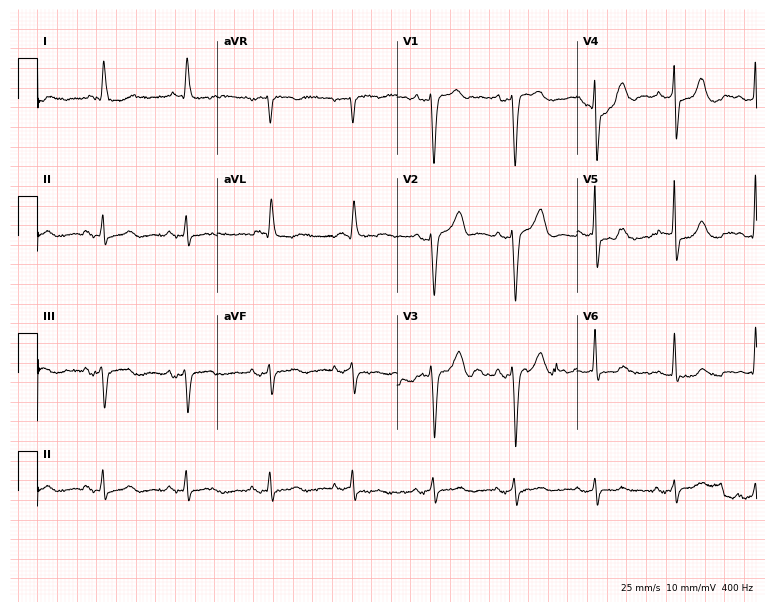
ECG (7.3-second recording at 400 Hz) — a male, 79 years old. Labelled as a normal ECG.